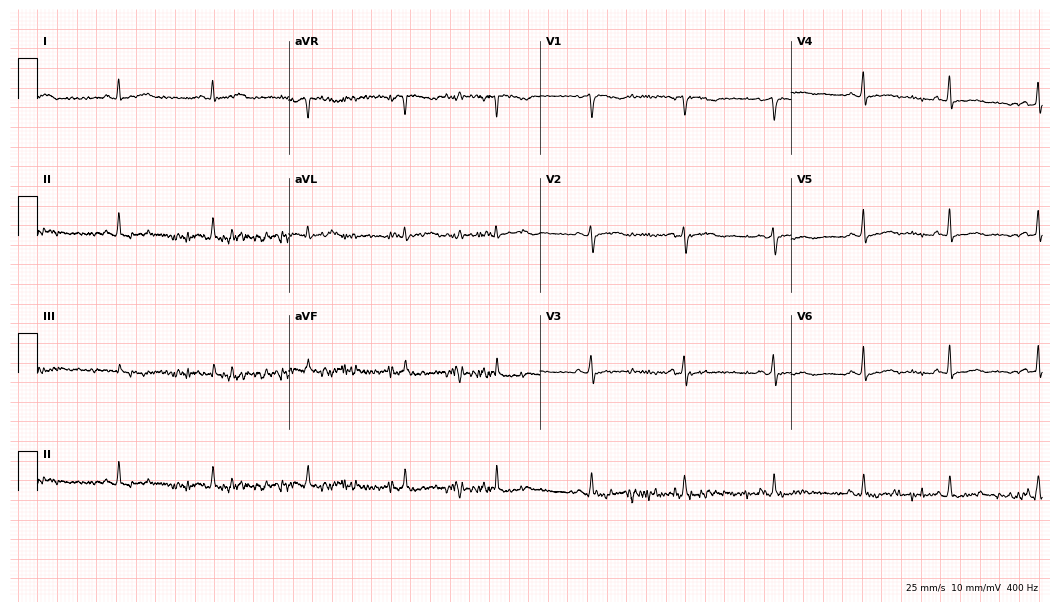
Standard 12-lead ECG recorded from a 36-year-old female (10.2-second recording at 400 Hz). None of these six findings is recorded: first-degree AV block, right bundle branch block (RBBB), left bundle branch block (LBBB), sinus bradycardia, atrial fibrillation (AF), sinus tachycardia.